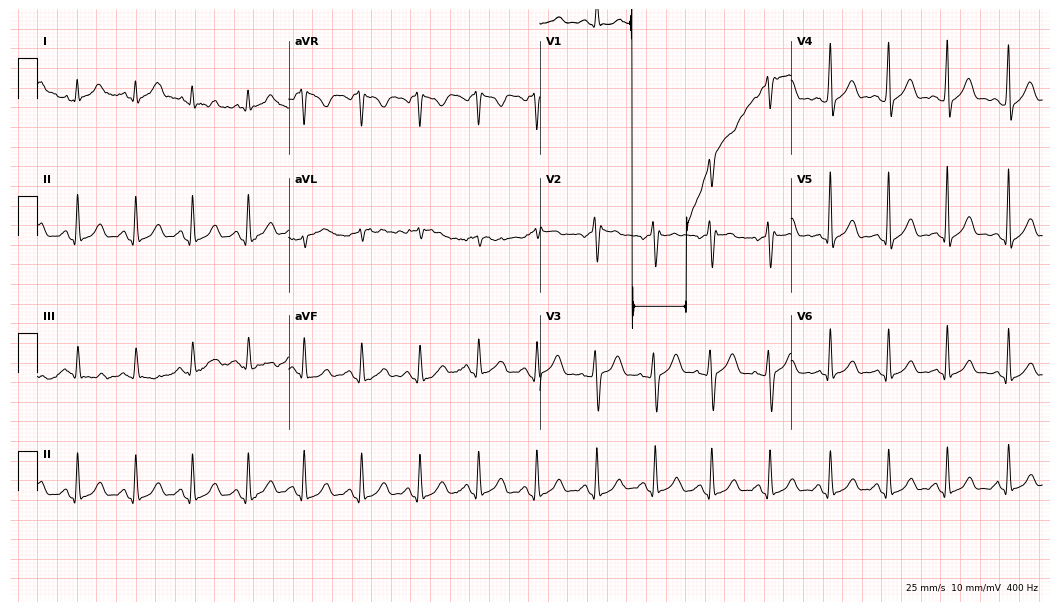
12-lead ECG from a male, 26 years old. Shows atrial fibrillation, sinus tachycardia (a sinus rate of 100 beats per minute or more).